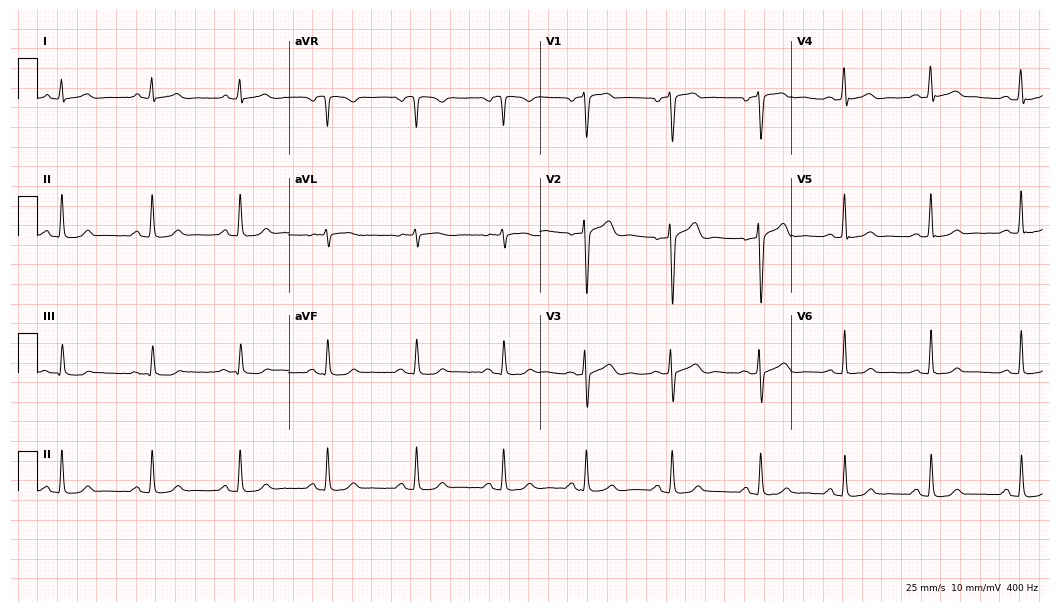
12-lead ECG from a 37-year-old man. No first-degree AV block, right bundle branch block, left bundle branch block, sinus bradycardia, atrial fibrillation or sinus tachycardia recorded for this tracing. Findings outside these six are not listed.